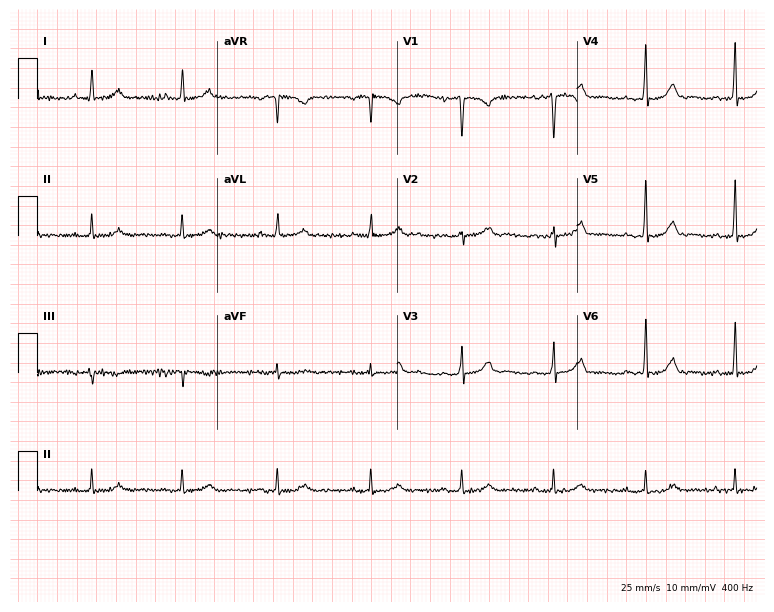
ECG (7.3-second recording at 400 Hz) — a female patient, 40 years old. Screened for six findings — first-degree AV block, right bundle branch block (RBBB), left bundle branch block (LBBB), sinus bradycardia, atrial fibrillation (AF), sinus tachycardia — none is recorded.